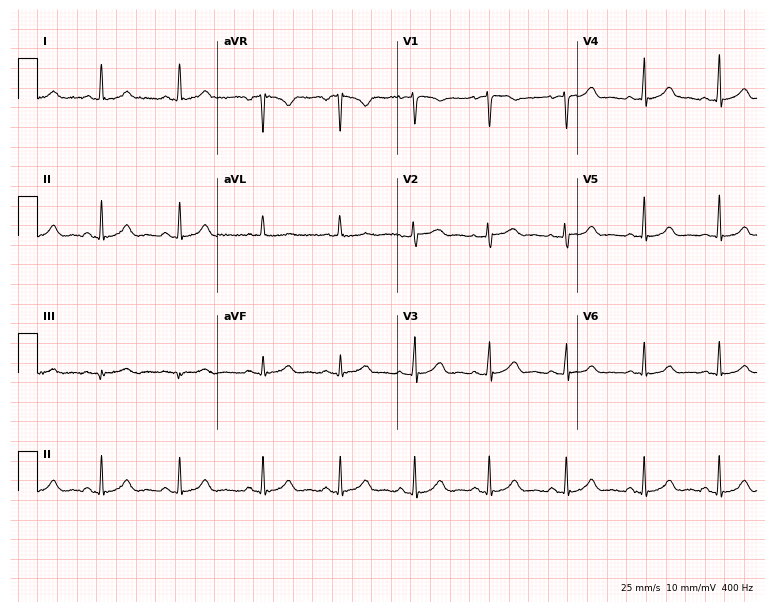
12-lead ECG (7.3-second recording at 400 Hz) from a female, 52 years old. Labelled as a normal ECG.